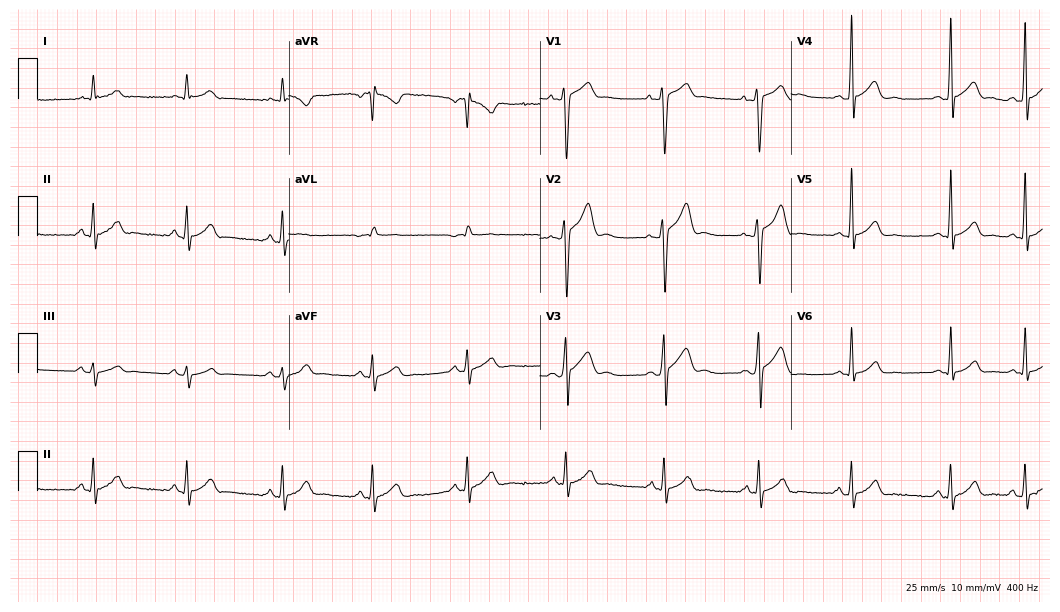
Resting 12-lead electrocardiogram (10.2-second recording at 400 Hz). Patient: a male, 22 years old. Read as a normal ECG.